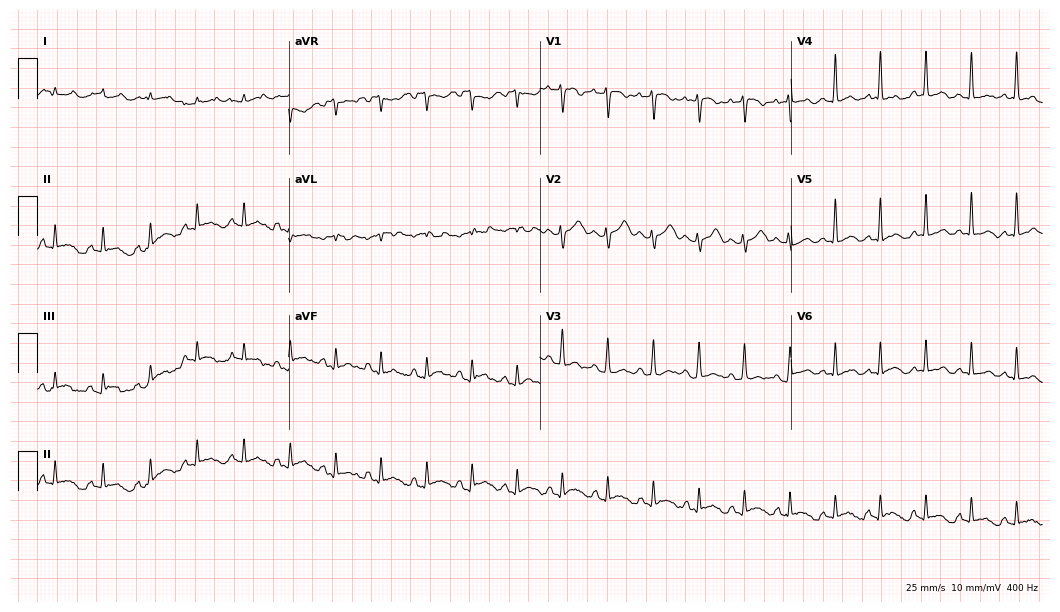
Standard 12-lead ECG recorded from a woman, 36 years old. The tracing shows sinus tachycardia (a sinus rate of 100 beats per minute or more).